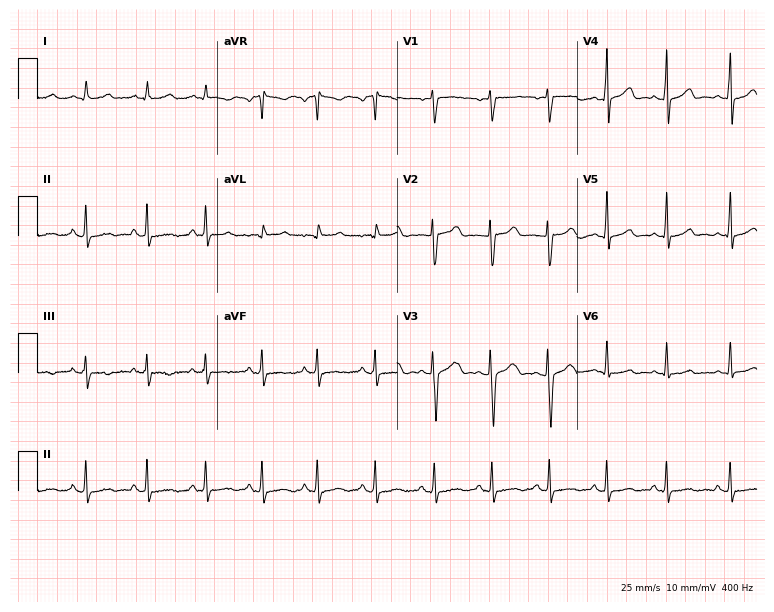
Standard 12-lead ECG recorded from a 23-year-old woman (7.3-second recording at 400 Hz). None of these six findings is recorded: first-degree AV block, right bundle branch block (RBBB), left bundle branch block (LBBB), sinus bradycardia, atrial fibrillation (AF), sinus tachycardia. Findings outside these six are not listed.